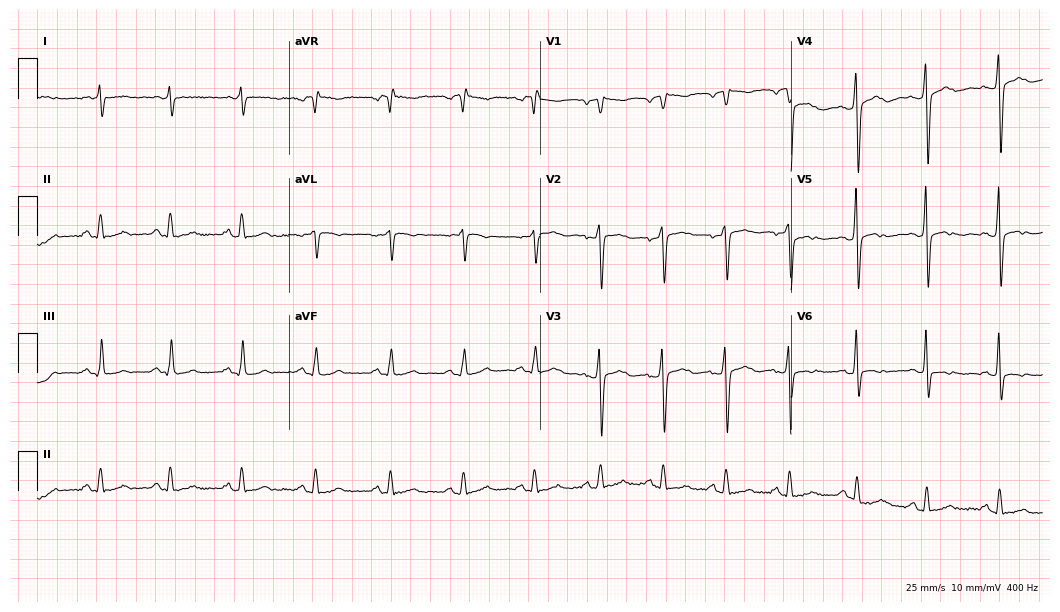
Resting 12-lead electrocardiogram (10.2-second recording at 400 Hz). Patient: a 57-year-old female. None of these six findings is recorded: first-degree AV block, right bundle branch block (RBBB), left bundle branch block (LBBB), sinus bradycardia, atrial fibrillation (AF), sinus tachycardia.